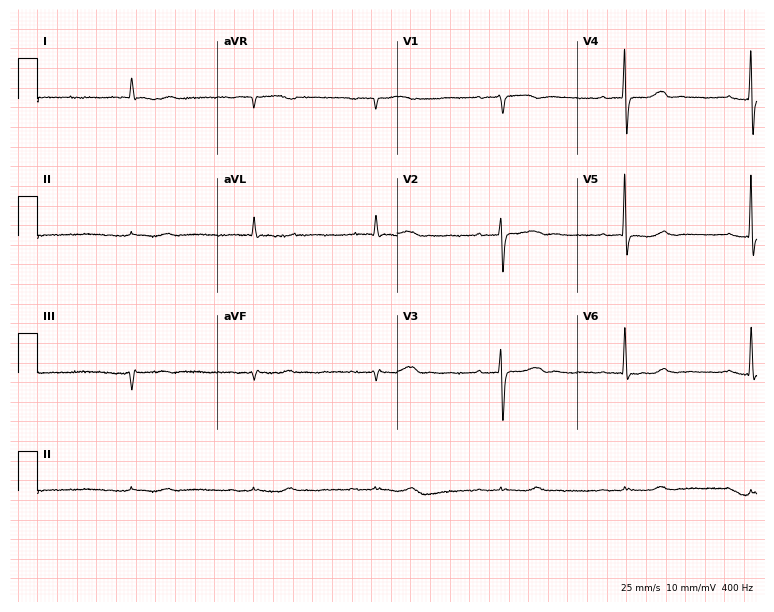
Resting 12-lead electrocardiogram (7.3-second recording at 400 Hz). Patient: an 85-year-old female. The tracing shows first-degree AV block, sinus bradycardia (a sinus rate of 50 beats per minute or less).